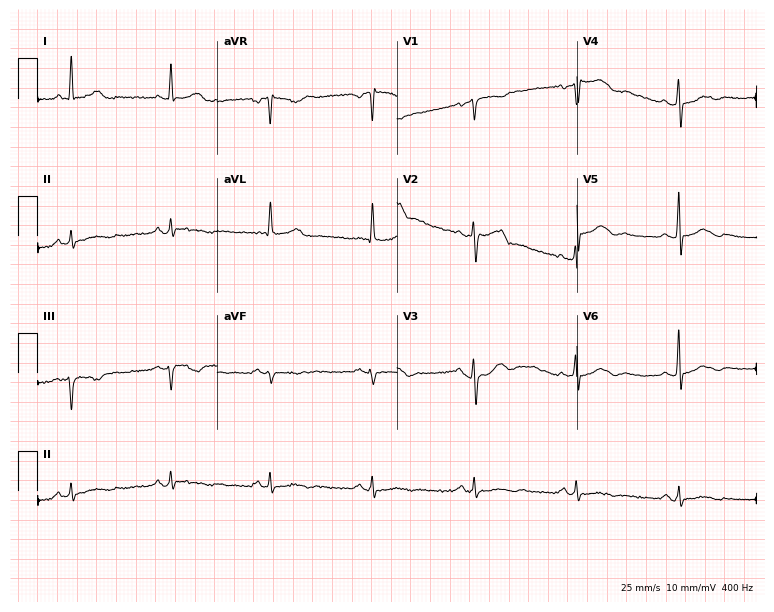
Resting 12-lead electrocardiogram (7.3-second recording at 400 Hz). Patient: a 73-year-old male. None of these six findings is recorded: first-degree AV block, right bundle branch block, left bundle branch block, sinus bradycardia, atrial fibrillation, sinus tachycardia. Only these six findings were labelled.